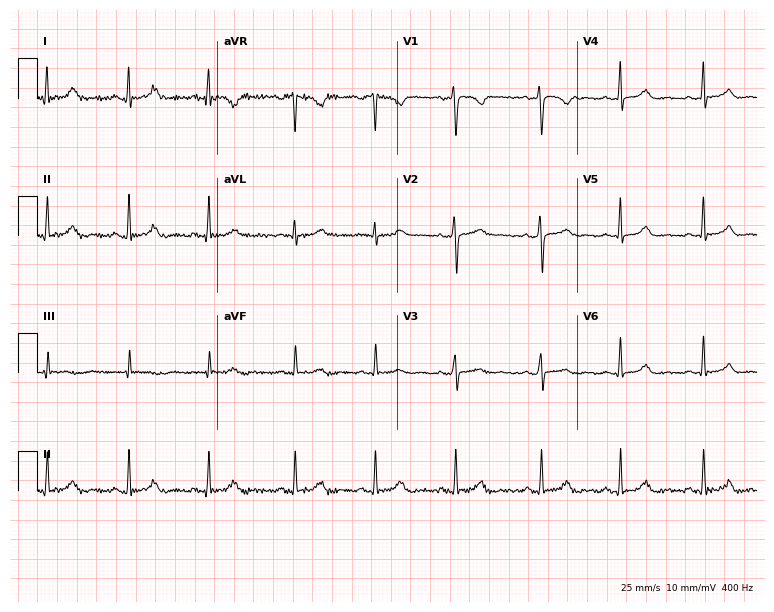
Standard 12-lead ECG recorded from a 25-year-old woman. Read as a normal ECG.